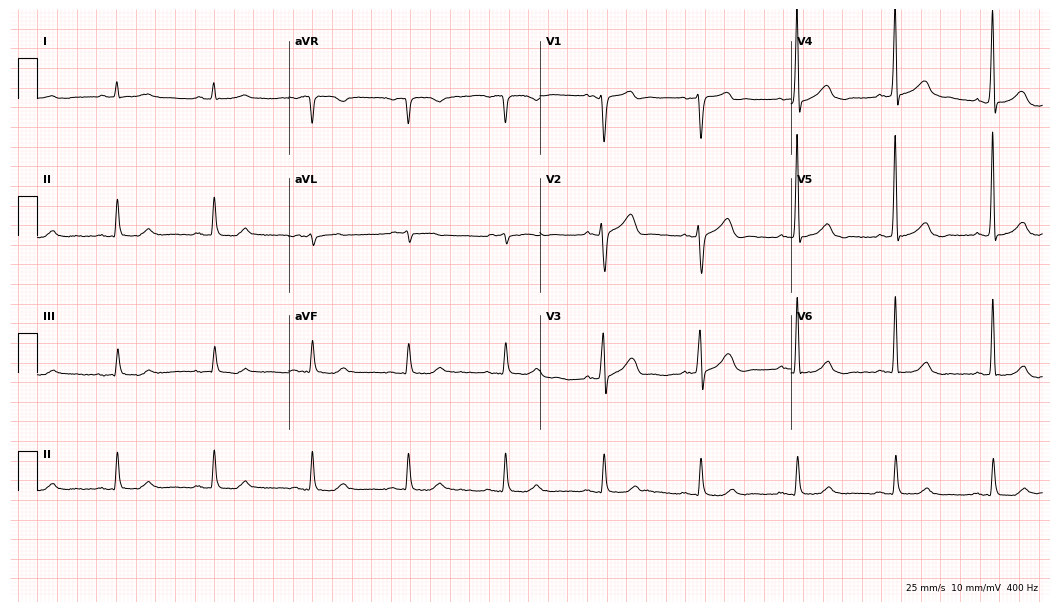
Standard 12-lead ECG recorded from a 66-year-old male (10.2-second recording at 400 Hz). Read as a normal ECG.